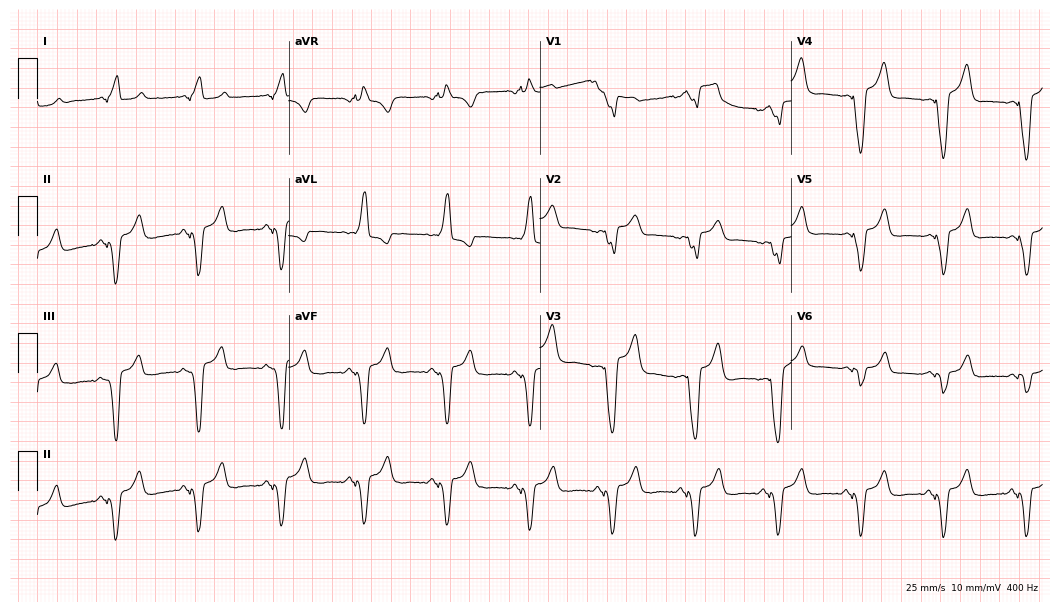
12-lead ECG (10.2-second recording at 400 Hz) from a female, 59 years old. Screened for six findings — first-degree AV block, right bundle branch block, left bundle branch block, sinus bradycardia, atrial fibrillation, sinus tachycardia — none is recorded. Findings outside these six are not listed.